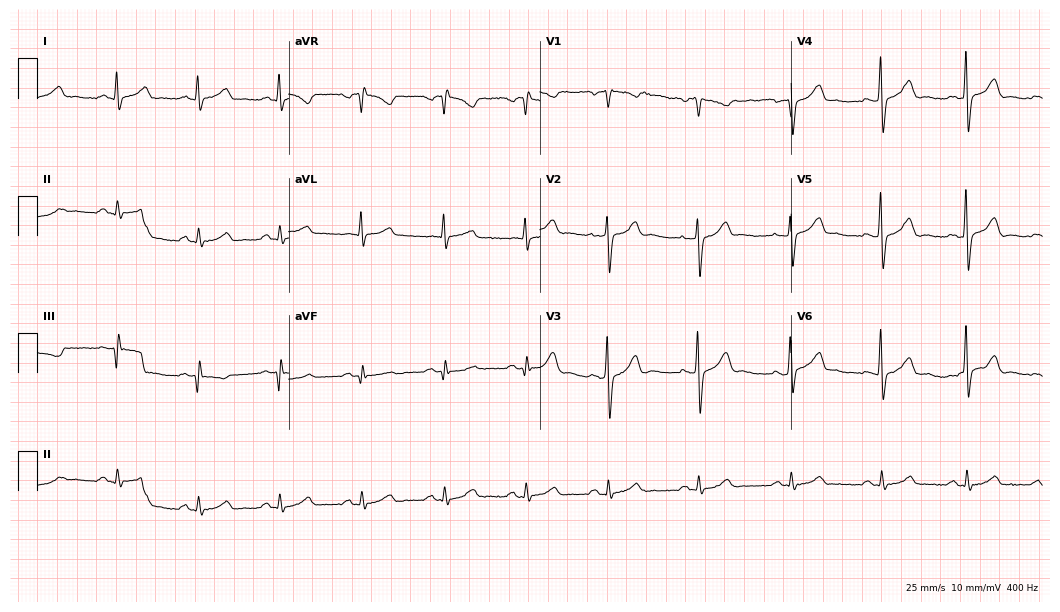
Standard 12-lead ECG recorded from a 55-year-old male patient. Read as a normal ECG.